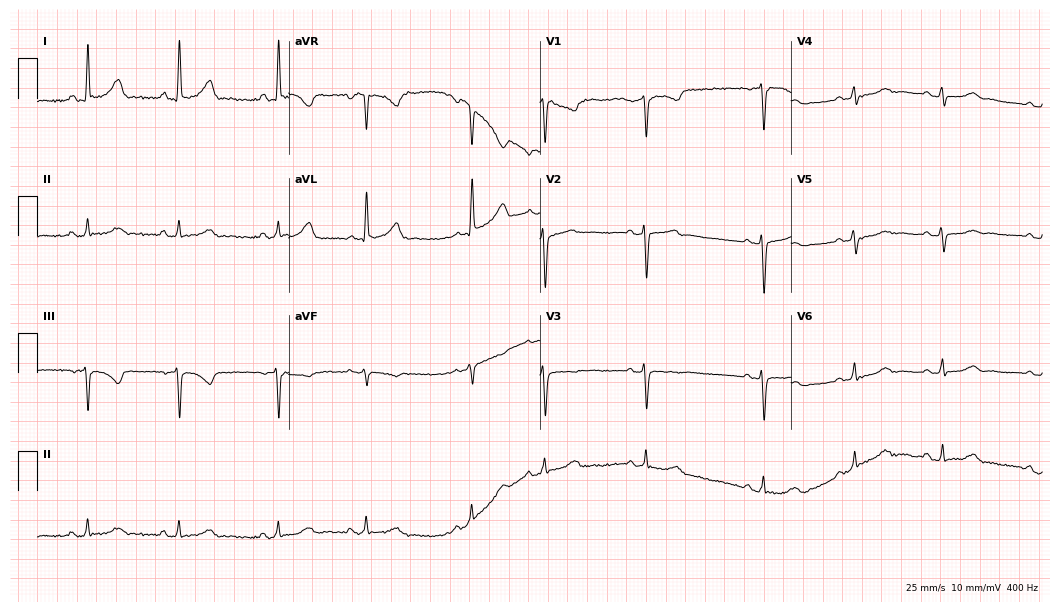
ECG — a 41-year-old female patient. Labelled as a normal ECG.